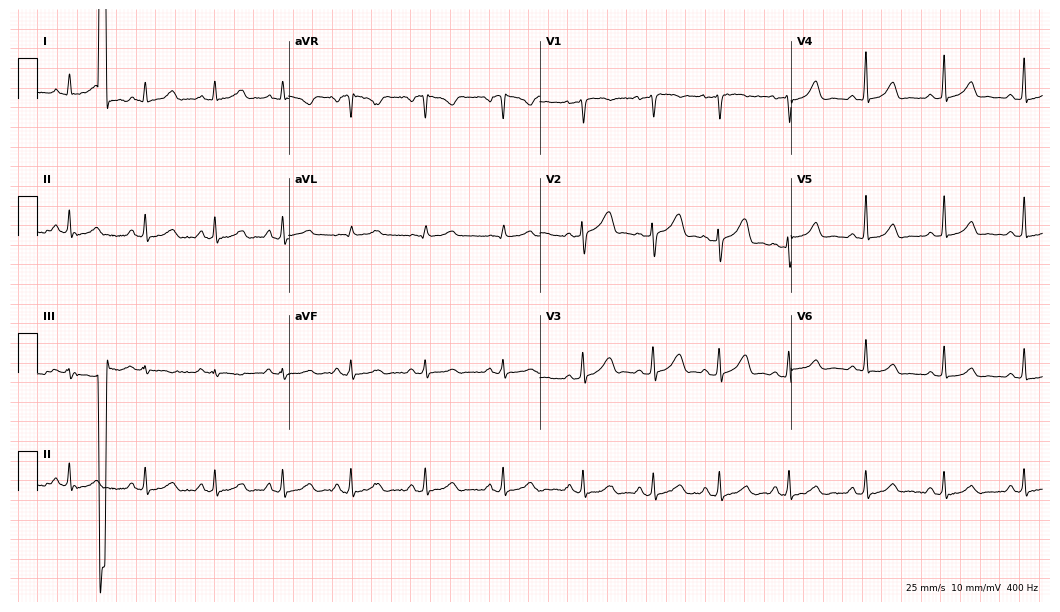
Electrocardiogram, a 32-year-old woman. Of the six screened findings (first-degree AV block, right bundle branch block (RBBB), left bundle branch block (LBBB), sinus bradycardia, atrial fibrillation (AF), sinus tachycardia), none is recorded. Other findings, if any, are not listed.